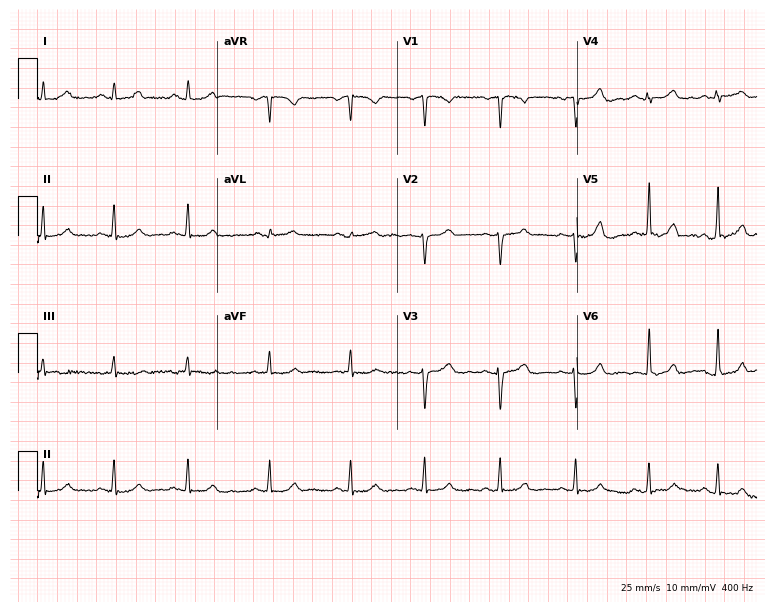
Electrocardiogram, a 26-year-old woman. Overall reading on record: normal ECG.